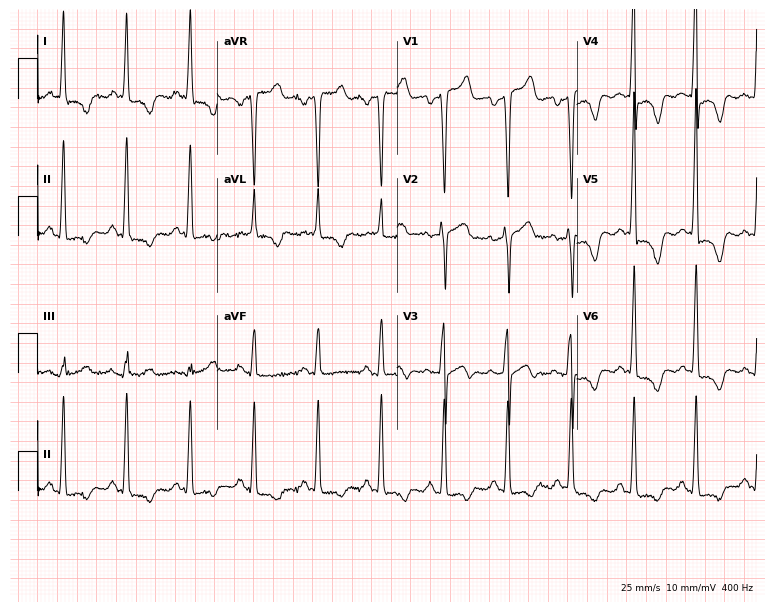
Electrocardiogram (7.3-second recording at 400 Hz), a female patient, 72 years old. Of the six screened findings (first-degree AV block, right bundle branch block (RBBB), left bundle branch block (LBBB), sinus bradycardia, atrial fibrillation (AF), sinus tachycardia), none is recorded. Findings outside these six are not listed.